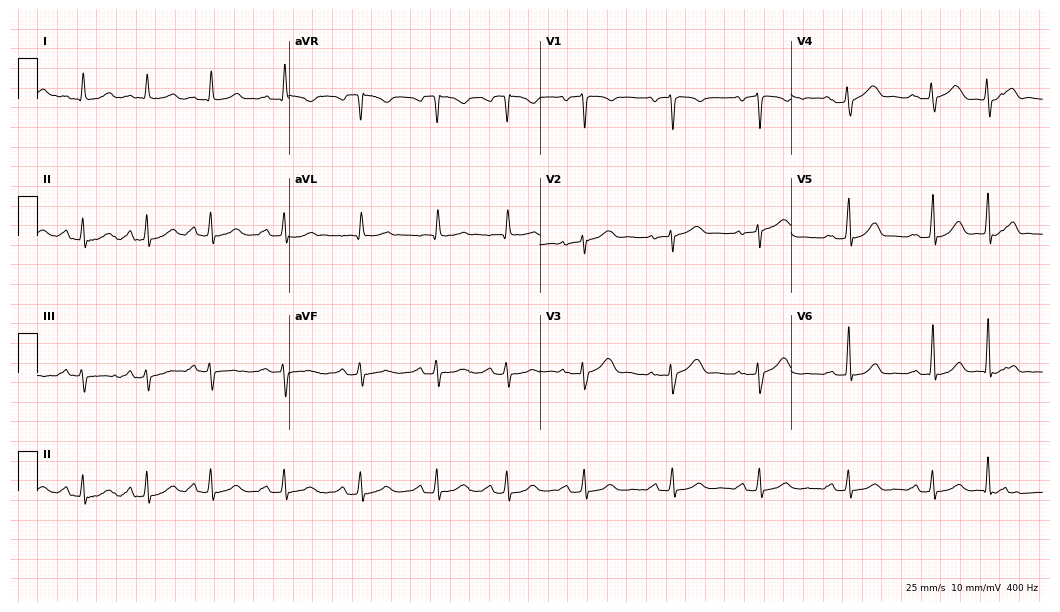
12-lead ECG from a female patient, 34 years old. Screened for six findings — first-degree AV block, right bundle branch block, left bundle branch block, sinus bradycardia, atrial fibrillation, sinus tachycardia — none is recorded. Findings outside these six are not listed.